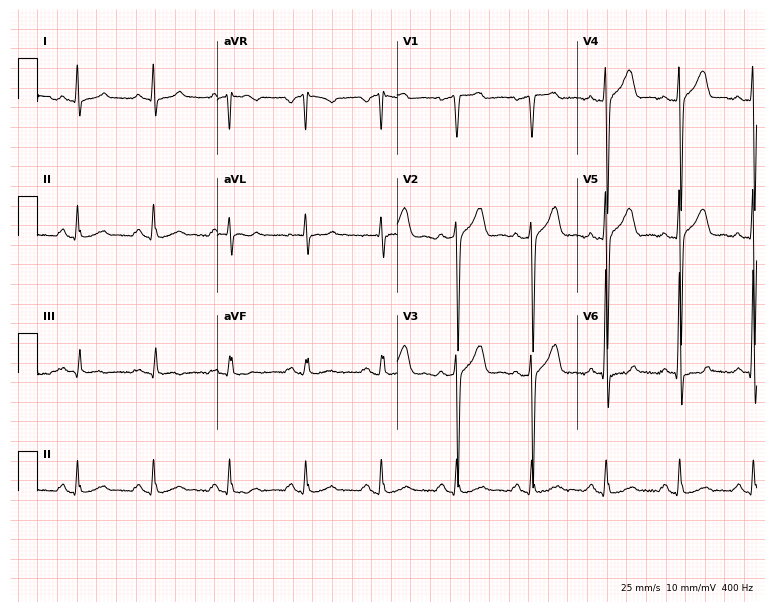
12-lead ECG from a man, 52 years old. Screened for six findings — first-degree AV block, right bundle branch block, left bundle branch block, sinus bradycardia, atrial fibrillation, sinus tachycardia — none is recorded. Findings outside these six are not listed.